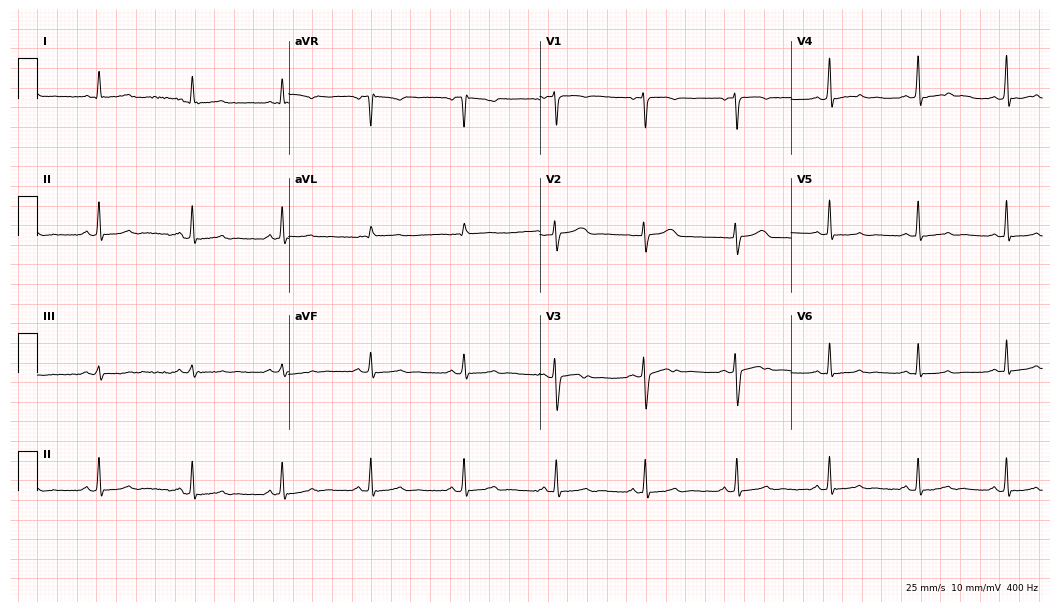
12-lead ECG from a female, 36 years old. Screened for six findings — first-degree AV block, right bundle branch block, left bundle branch block, sinus bradycardia, atrial fibrillation, sinus tachycardia — none is recorded.